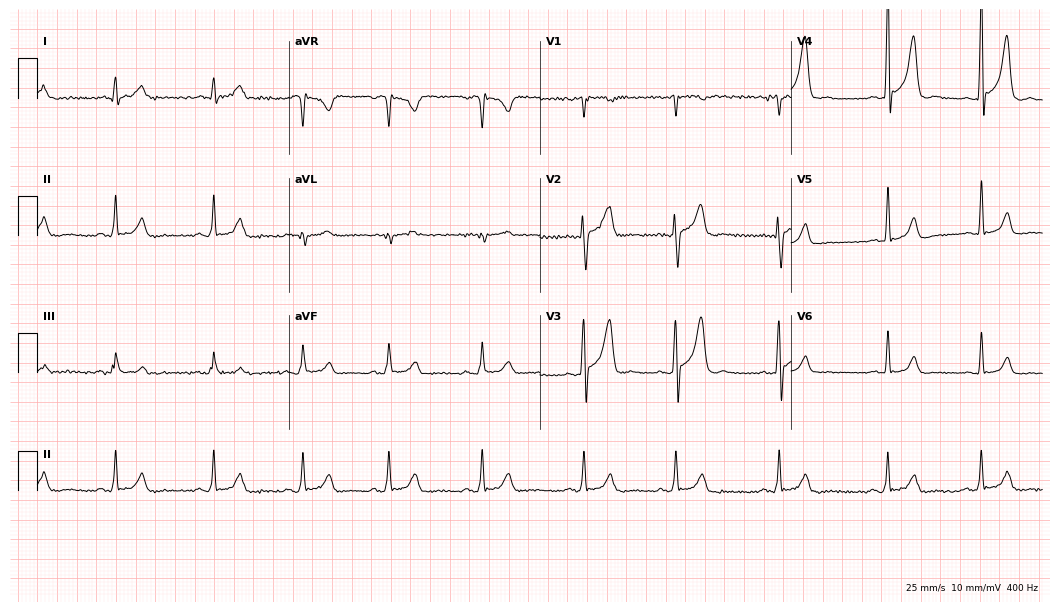
12-lead ECG from a male, 38 years old (10.2-second recording at 400 Hz). Recorded interpretation: within normal limits.